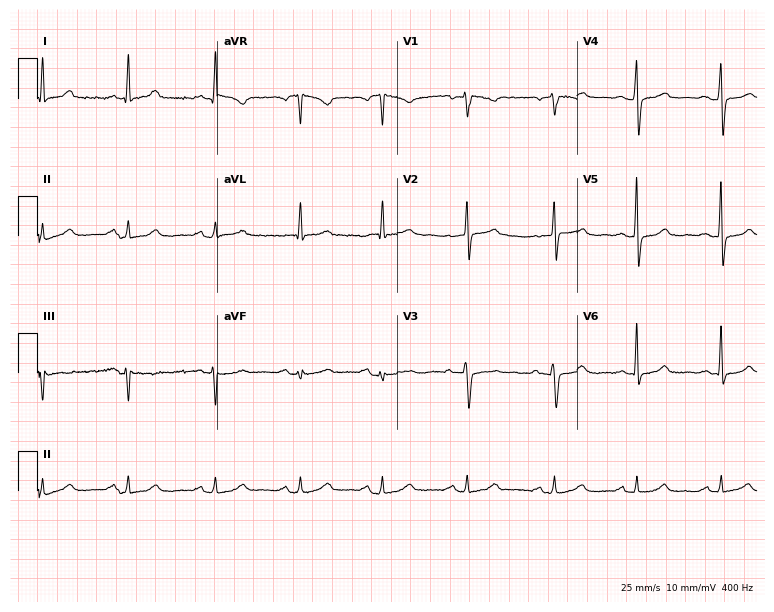
12-lead ECG (7.3-second recording at 400 Hz) from a woman, 54 years old. Labelled as a normal ECG.